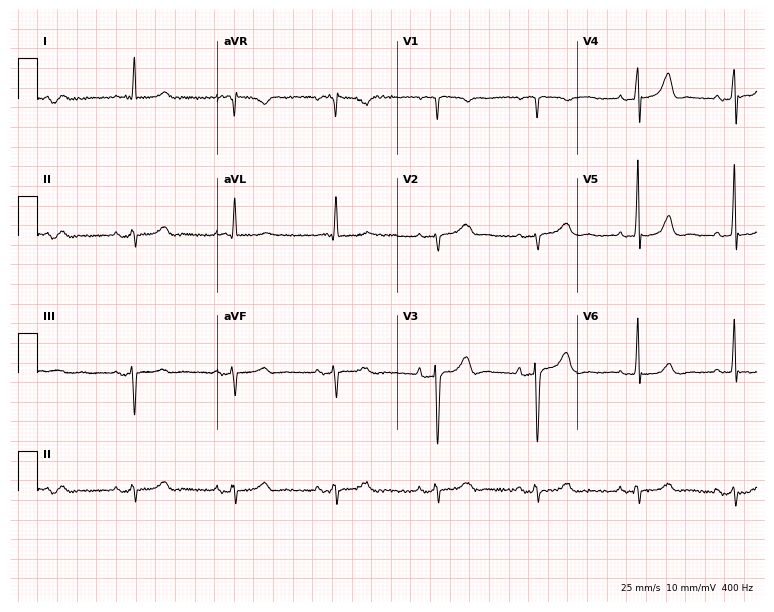
12-lead ECG from a male patient, 81 years old. Screened for six findings — first-degree AV block, right bundle branch block, left bundle branch block, sinus bradycardia, atrial fibrillation, sinus tachycardia — none is recorded. Other findings, if any, are not listed.